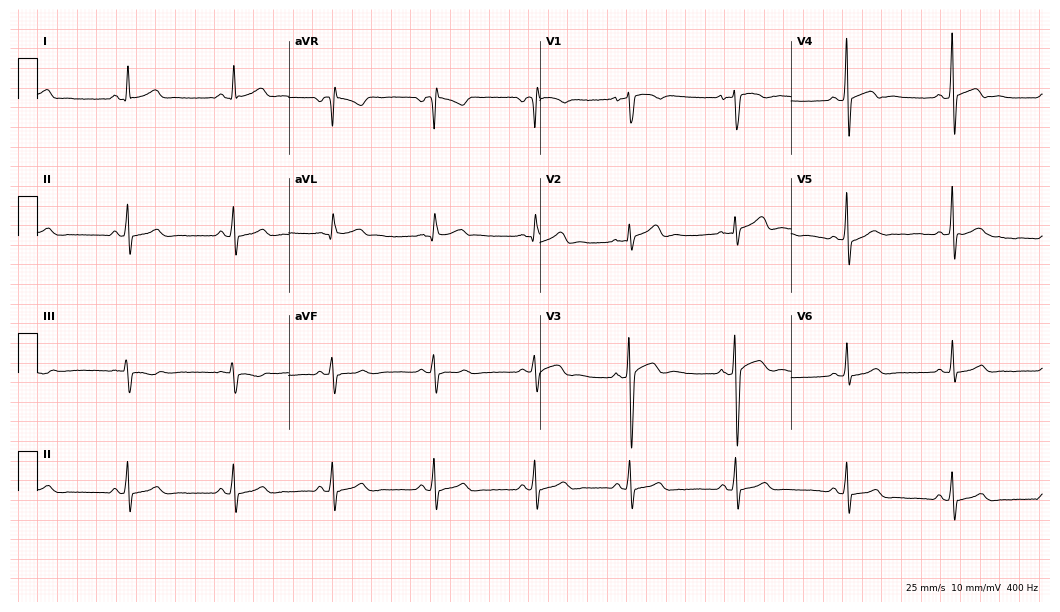
Resting 12-lead electrocardiogram. Patient: an 18-year-old male. None of these six findings is recorded: first-degree AV block, right bundle branch block (RBBB), left bundle branch block (LBBB), sinus bradycardia, atrial fibrillation (AF), sinus tachycardia.